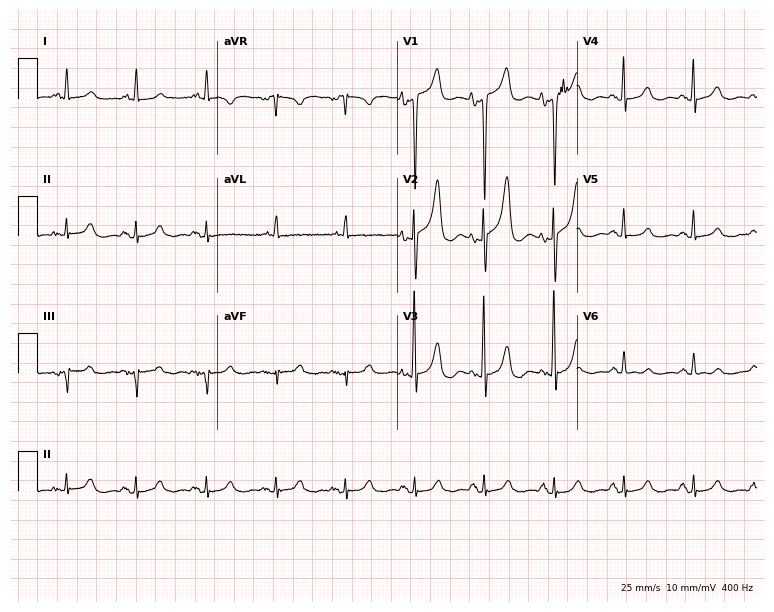
12-lead ECG from an 84-year-old female patient. Screened for six findings — first-degree AV block, right bundle branch block (RBBB), left bundle branch block (LBBB), sinus bradycardia, atrial fibrillation (AF), sinus tachycardia — none is recorded. Only these six findings were labelled.